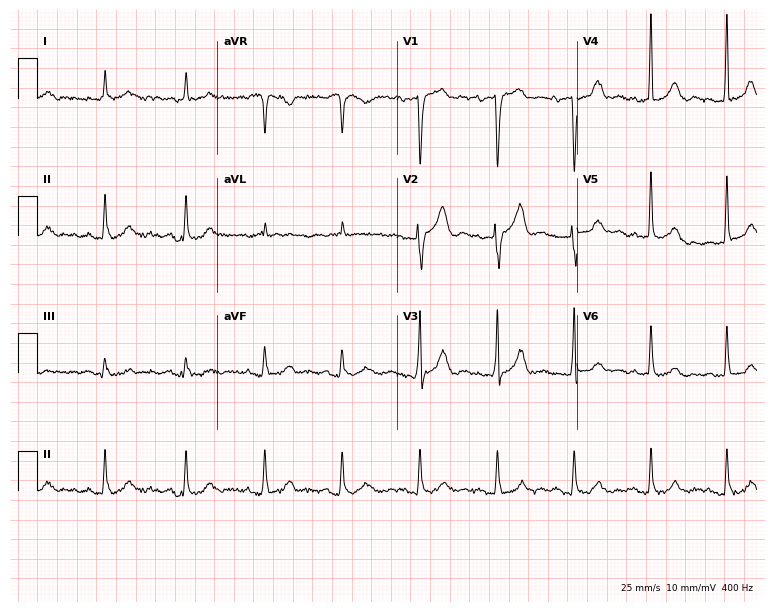
Electrocardiogram, an 85-year-old man. Of the six screened findings (first-degree AV block, right bundle branch block, left bundle branch block, sinus bradycardia, atrial fibrillation, sinus tachycardia), none is recorded.